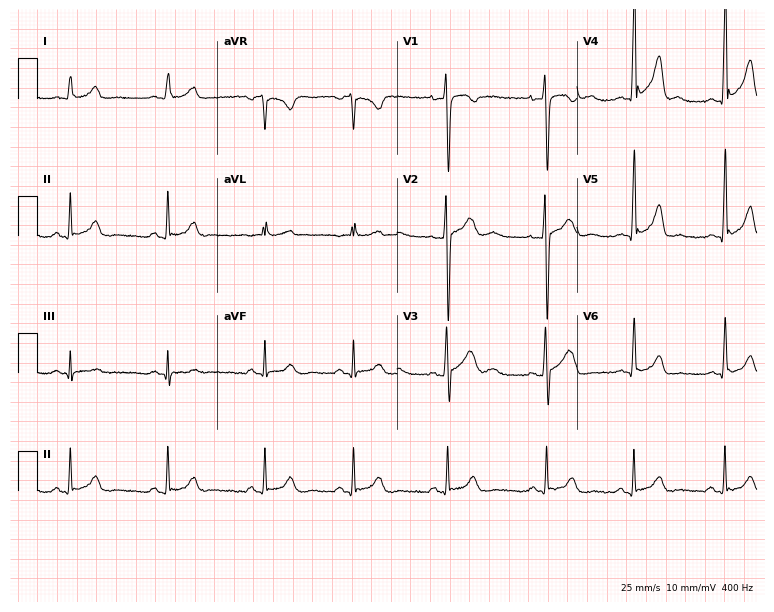
Electrocardiogram (7.3-second recording at 400 Hz), a 17-year-old male. Overall reading on record: normal ECG.